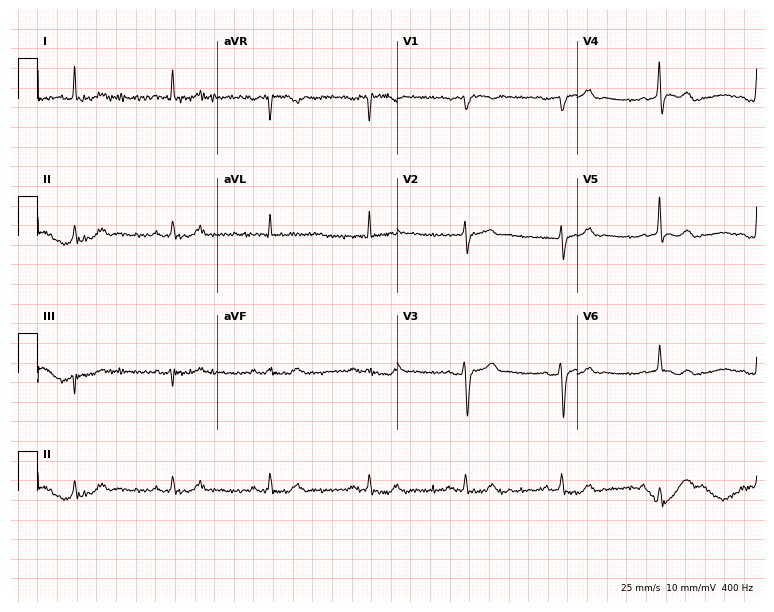
ECG — a male patient, 78 years old. Labelled as a normal ECG.